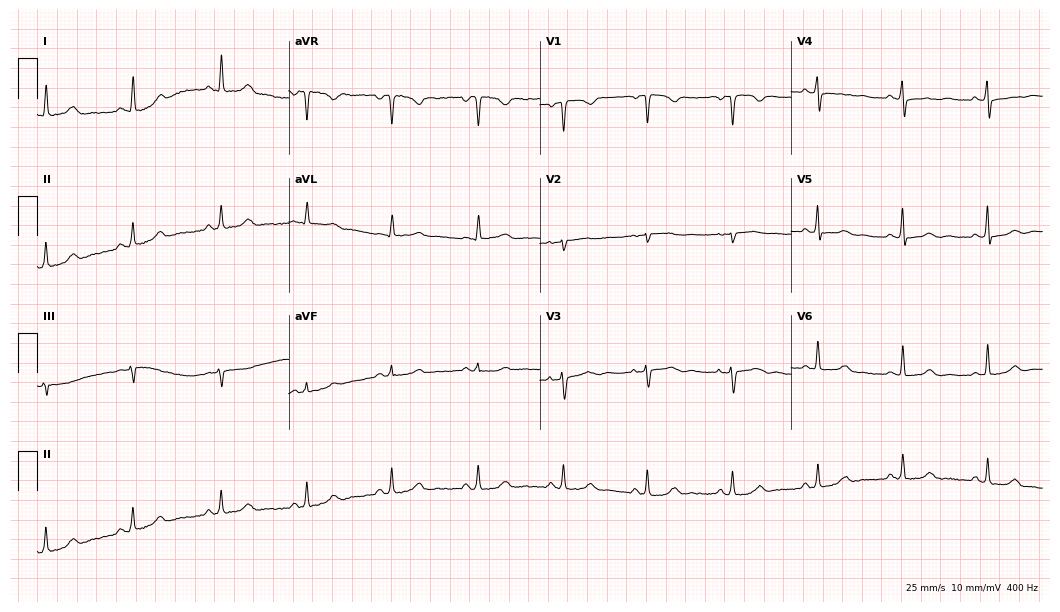
Standard 12-lead ECG recorded from a 43-year-old female patient. Read as a normal ECG.